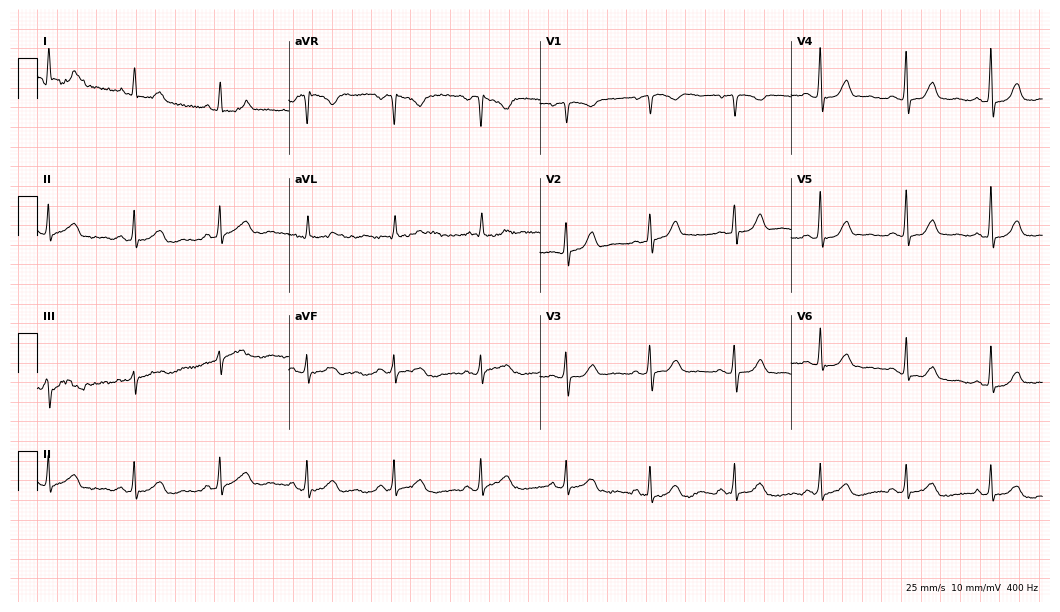
Standard 12-lead ECG recorded from a 72-year-old female. Read as a normal ECG.